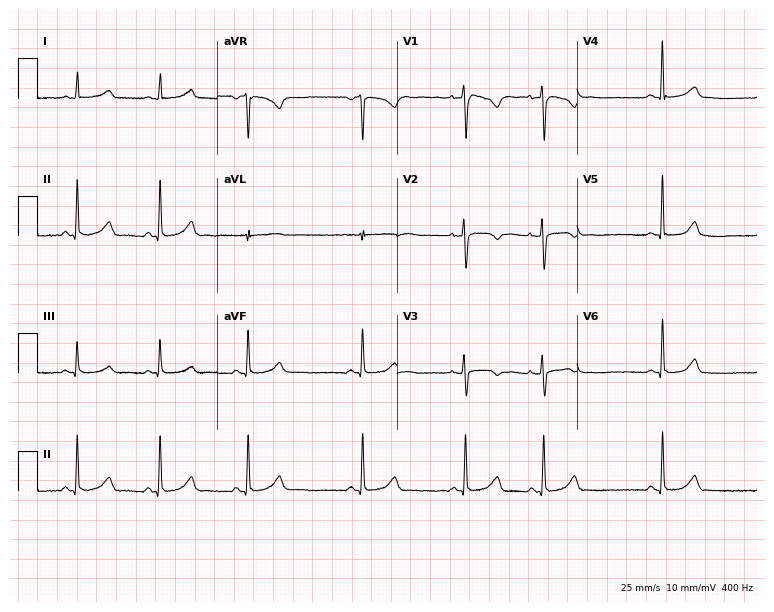
Standard 12-lead ECG recorded from a 25-year-old woman (7.3-second recording at 400 Hz). None of these six findings is recorded: first-degree AV block, right bundle branch block (RBBB), left bundle branch block (LBBB), sinus bradycardia, atrial fibrillation (AF), sinus tachycardia.